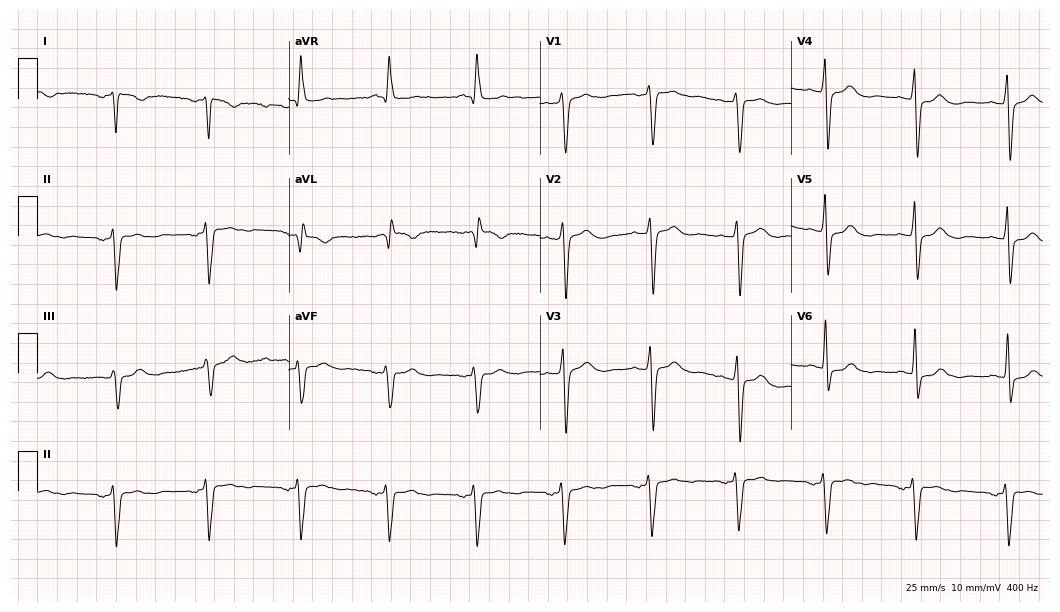
Electrocardiogram (10.2-second recording at 400 Hz), a man, 77 years old. Of the six screened findings (first-degree AV block, right bundle branch block, left bundle branch block, sinus bradycardia, atrial fibrillation, sinus tachycardia), none is recorded. Only these six findings were labelled.